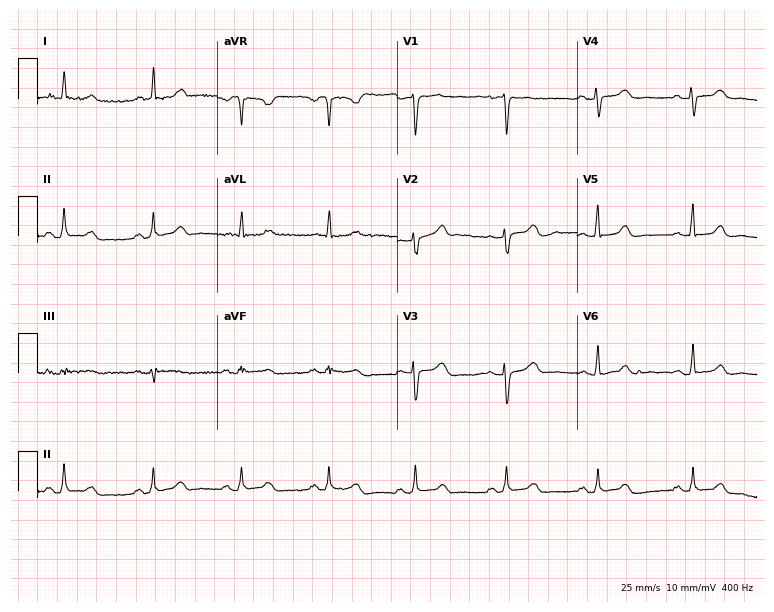
ECG — a 55-year-old female. Labelled as a normal ECG.